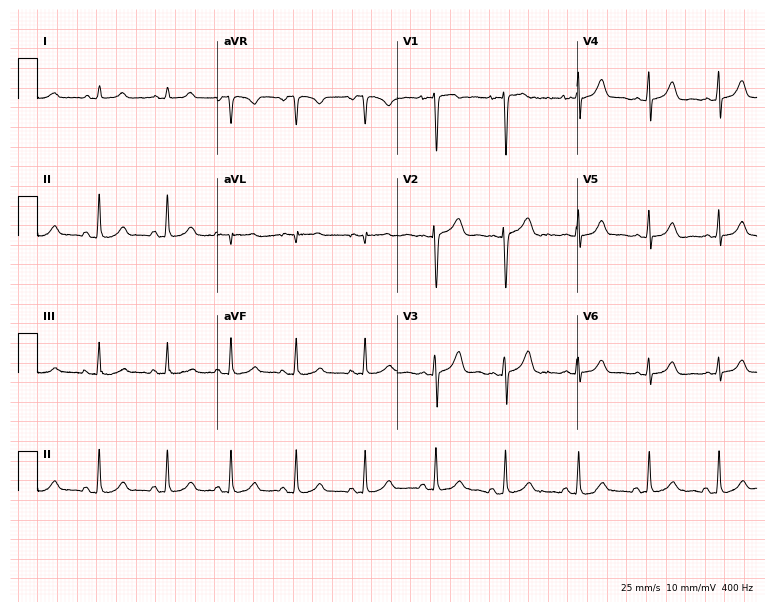
Standard 12-lead ECG recorded from a woman, 19 years old. Read as a normal ECG.